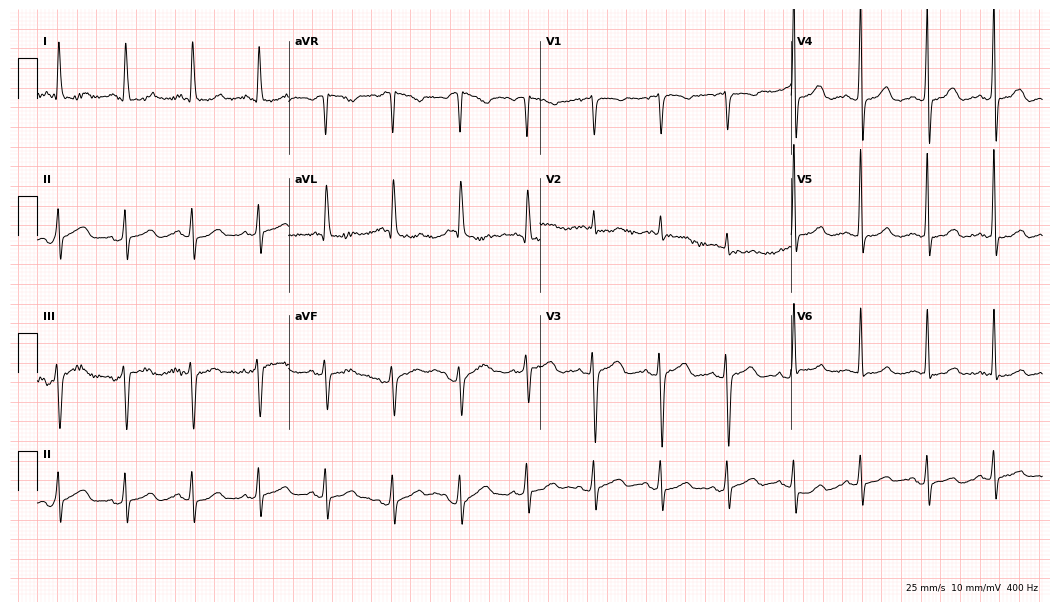
Resting 12-lead electrocardiogram (10.2-second recording at 400 Hz). Patient: a 58-year-old male. None of these six findings is recorded: first-degree AV block, right bundle branch block, left bundle branch block, sinus bradycardia, atrial fibrillation, sinus tachycardia. Findings outside these six are not listed.